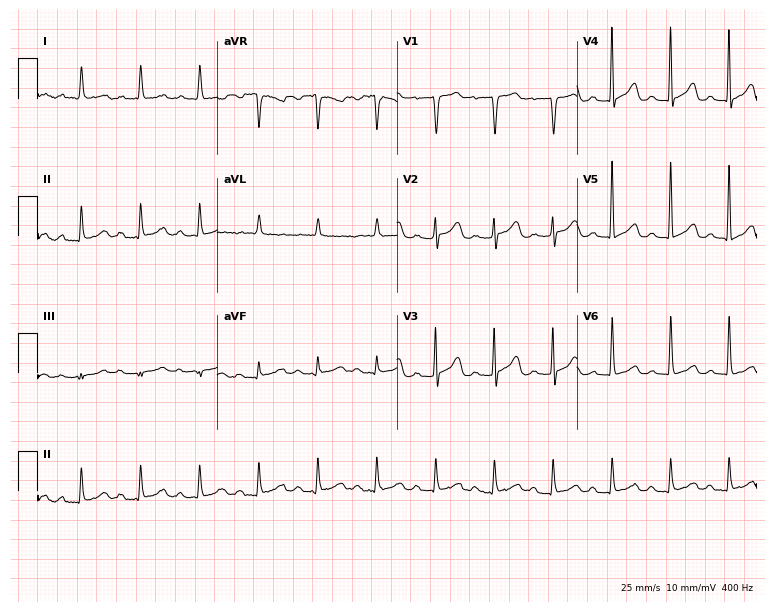
Standard 12-lead ECG recorded from a woman, 81 years old (7.3-second recording at 400 Hz). None of these six findings is recorded: first-degree AV block, right bundle branch block, left bundle branch block, sinus bradycardia, atrial fibrillation, sinus tachycardia.